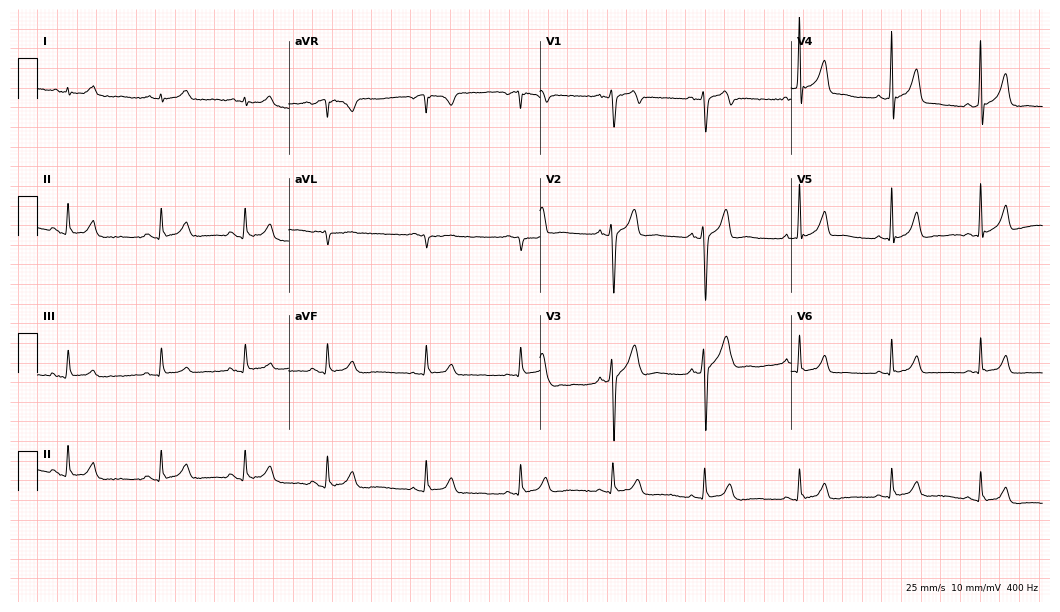
ECG — a male, 24 years old. Labelled as a normal ECG.